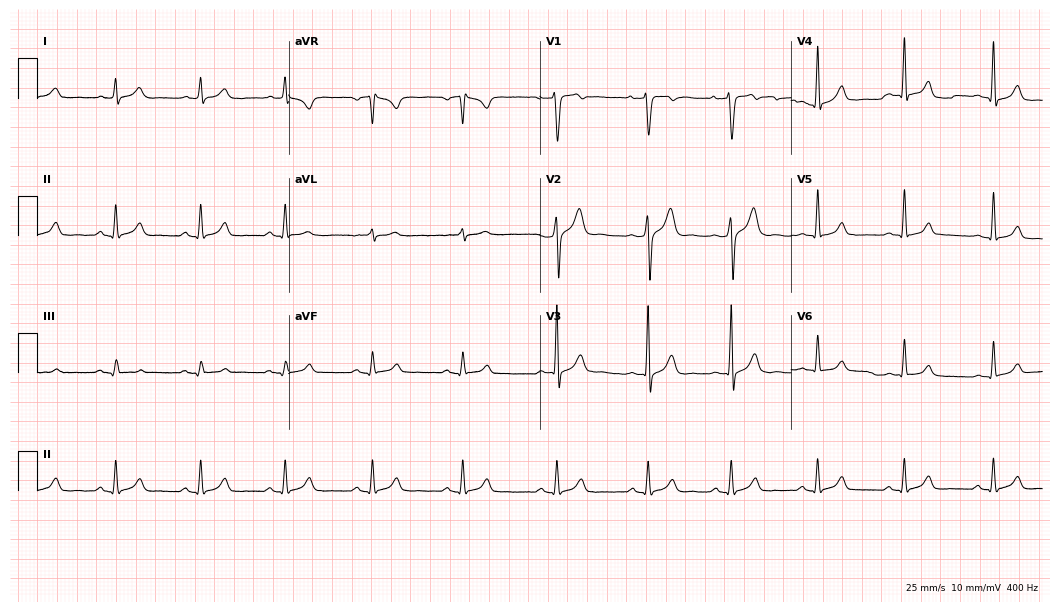
12-lead ECG (10.2-second recording at 400 Hz) from a man, 28 years old. Screened for six findings — first-degree AV block, right bundle branch block, left bundle branch block, sinus bradycardia, atrial fibrillation, sinus tachycardia — none is recorded. Other findings, if any, are not listed.